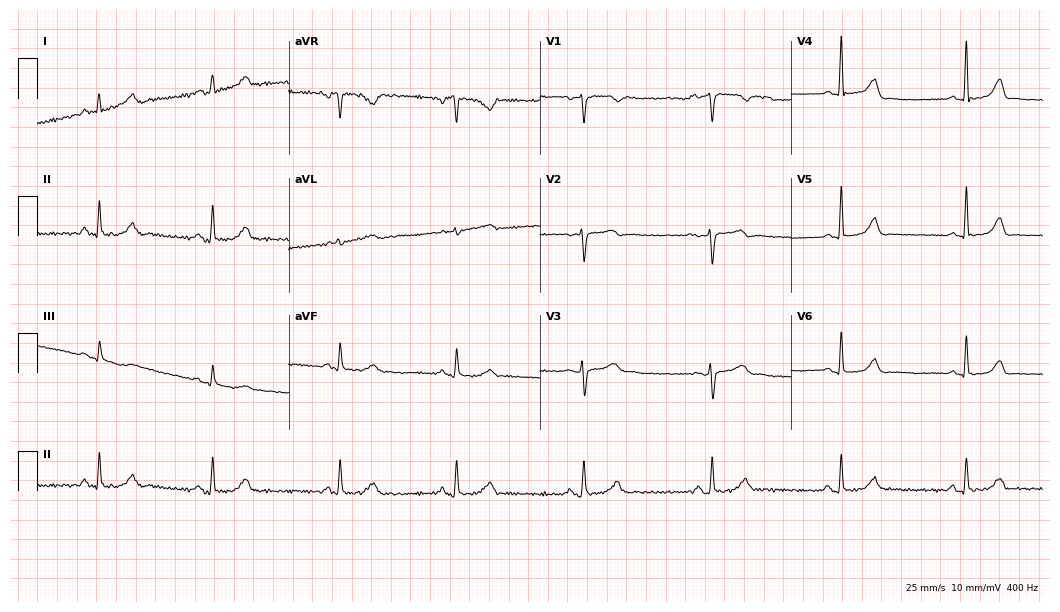
12-lead ECG from a 42-year-old female. Screened for six findings — first-degree AV block, right bundle branch block, left bundle branch block, sinus bradycardia, atrial fibrillation, sinus tachycardia — none is recorded.